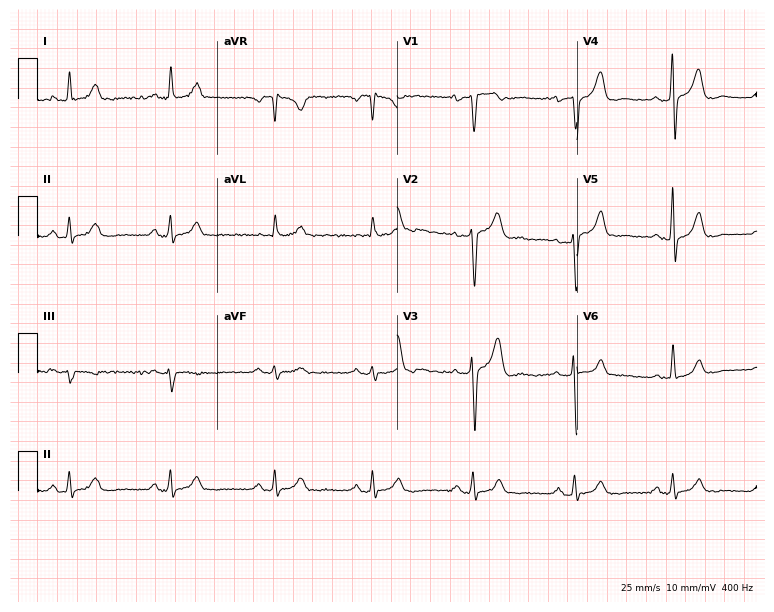
12-lead ECG from a 46-year-old male patient. No first-degree AV block, right bundle branch block, left bundle branch block, sinus bradycardia, atrial fibrillation or sinus tachycardia recorded for this tracing. Findings outside these six are not listed.